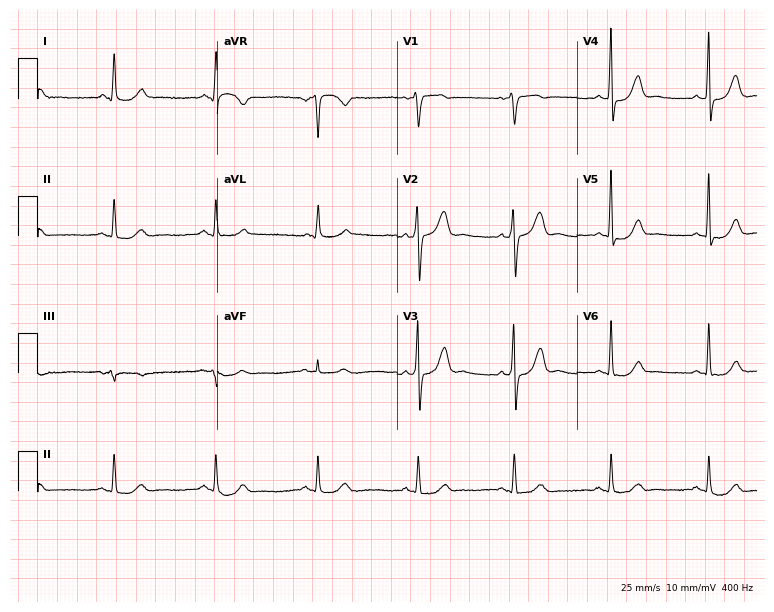
Resting 12-lead electrocardiogram. Patient: a male, 46 years old. Read as a normal ECG.